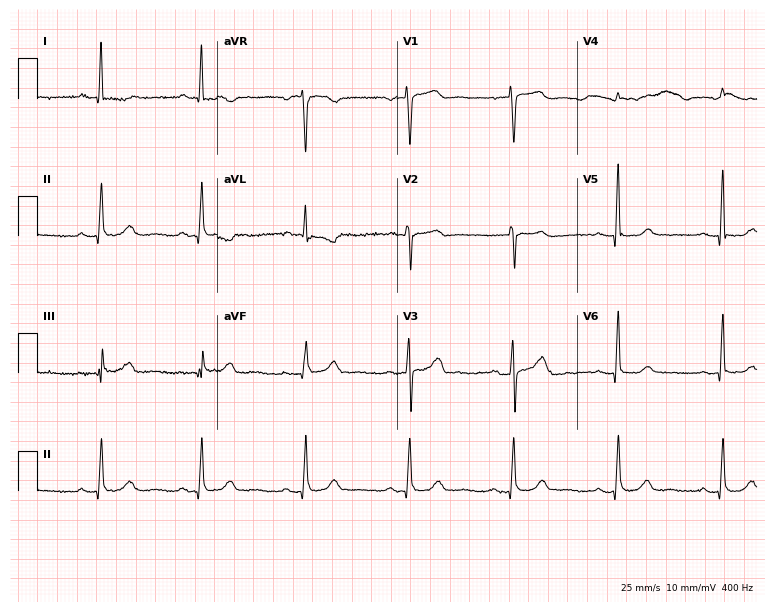
Resting 12-lead electrocardiogram. Patient: a female, 59 years old. Read as a normal ECG.